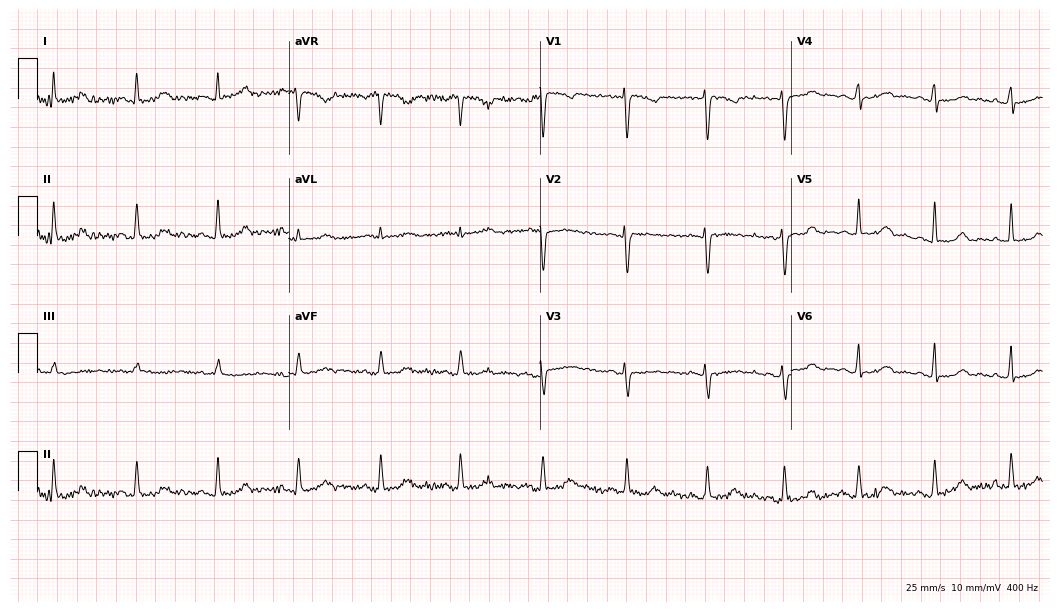
12-lead ECG from a female, 43 years old (10.2-second recording at 400 Hz). Recorded interpretation: within normal limits.